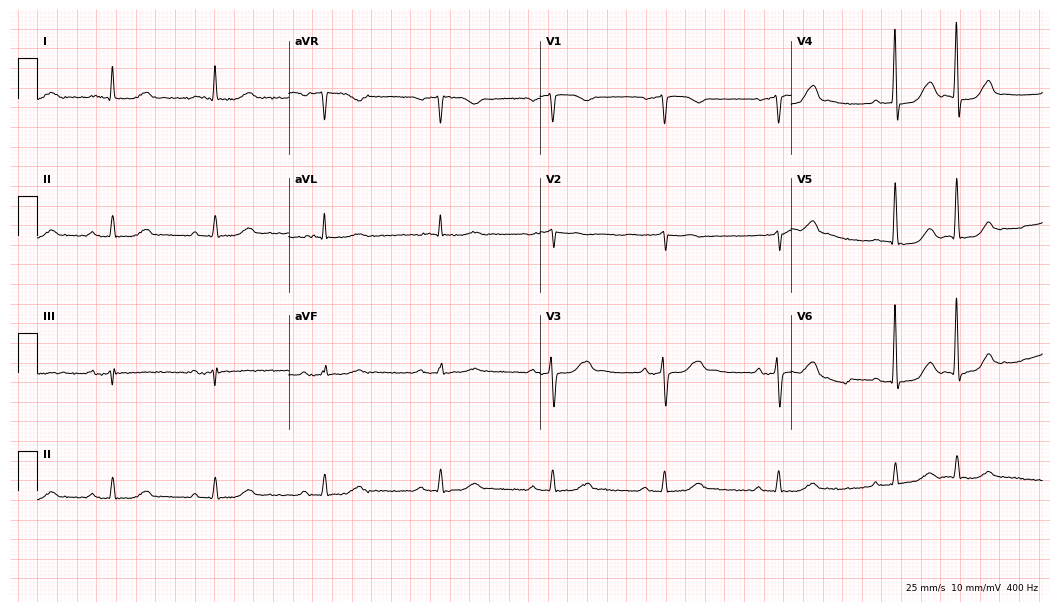
ECG (10.2-second recording at 400 Hz) — a 68-year-old male. Screened for six findings — first-degree AV block, right bundle branch block, left bundle branch block, sinus bradycardia, atrial fibrillation, sinus tachycardia — none is recorded.